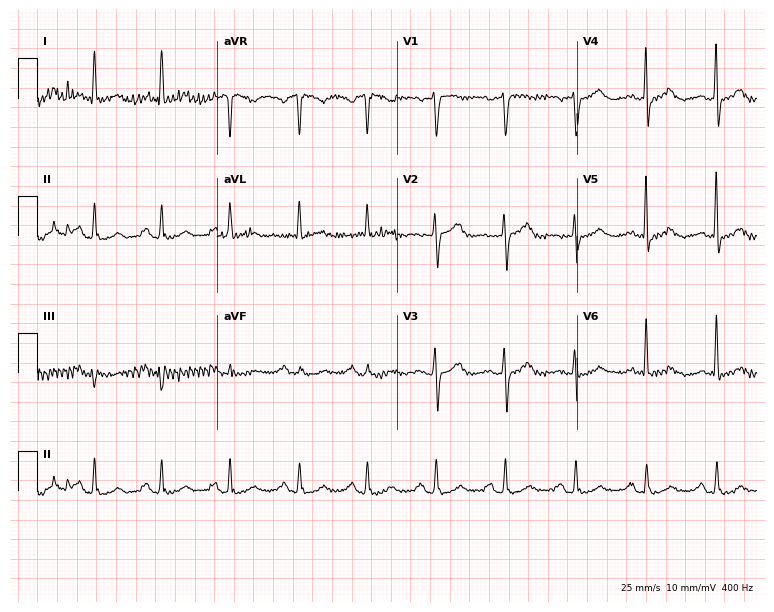
ECG (7.3-second recording at 400 Hz) — a female patient, 62 years old. Labelled as a normal ECG.